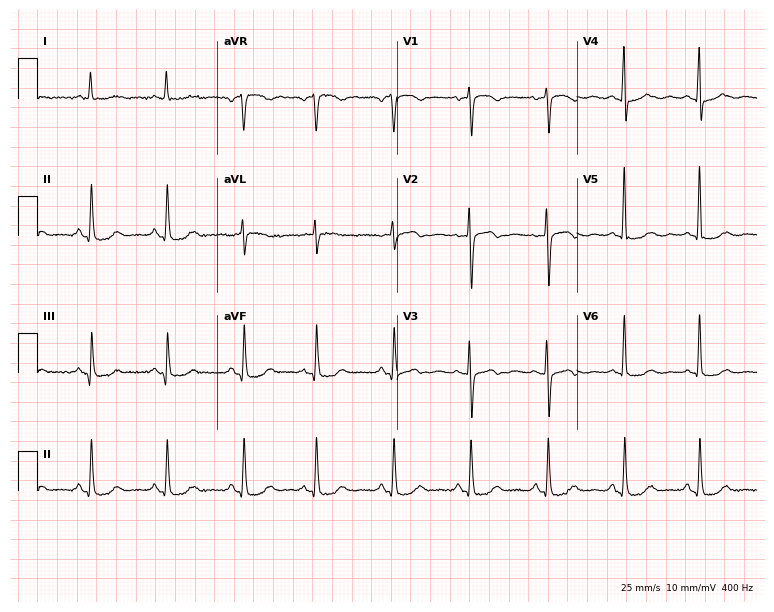
ECG (7.3-second recording at 400 Hz) — a female, 71 years old. Screened for six findings — first-degree AV block, right bundle branch block (RBBB), left bundle branch block (LBBB), sinus bradycardia, atrial fibrillation (AF), sinus tachycardia — none is recorded. Other findings, if any, are not listed.